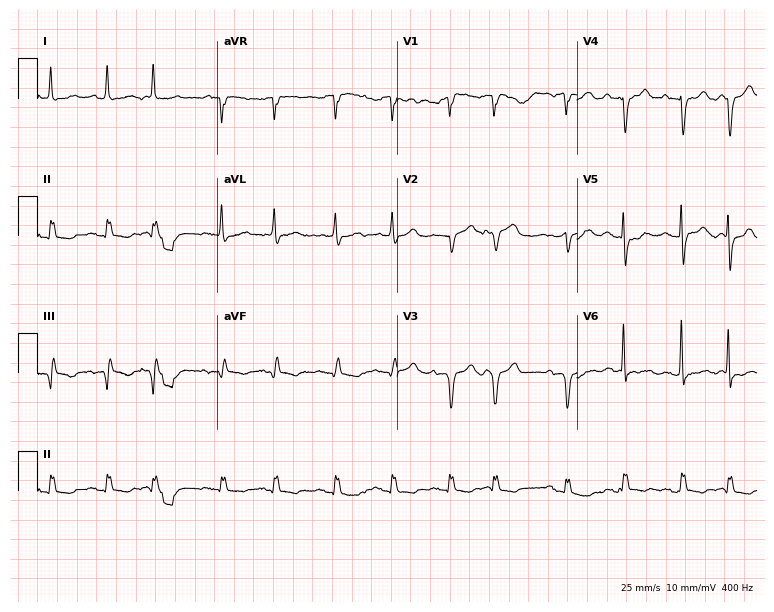
ECG (7.3-second recording at 400 Hz) — a male, 84 years old. Screened for six findings — first-degree AV block, right bundle branch block, left bundle branch block, sinus bradycardia, atrial fibrillation, sinus tachycardia — none is recorded. Findings outside these six are not listed.